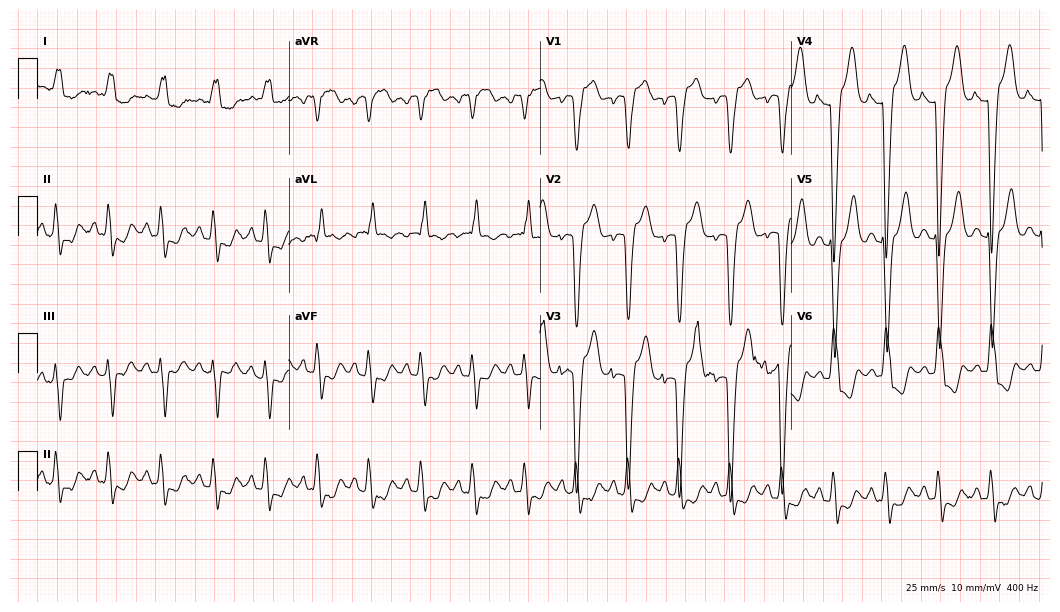
Resting 12-lead electrocardiogram (10.2-second recording at 400 Hz). Patient: a female, 76 years old. None of these six findings is recorded: first-degree AV block, right bundle branch block (RBBB), left bundle branch block (LBBB), sinus bradycardia, atrial fibrillation (AF), sinus tachycardia. Other findings, if any, are not listed.